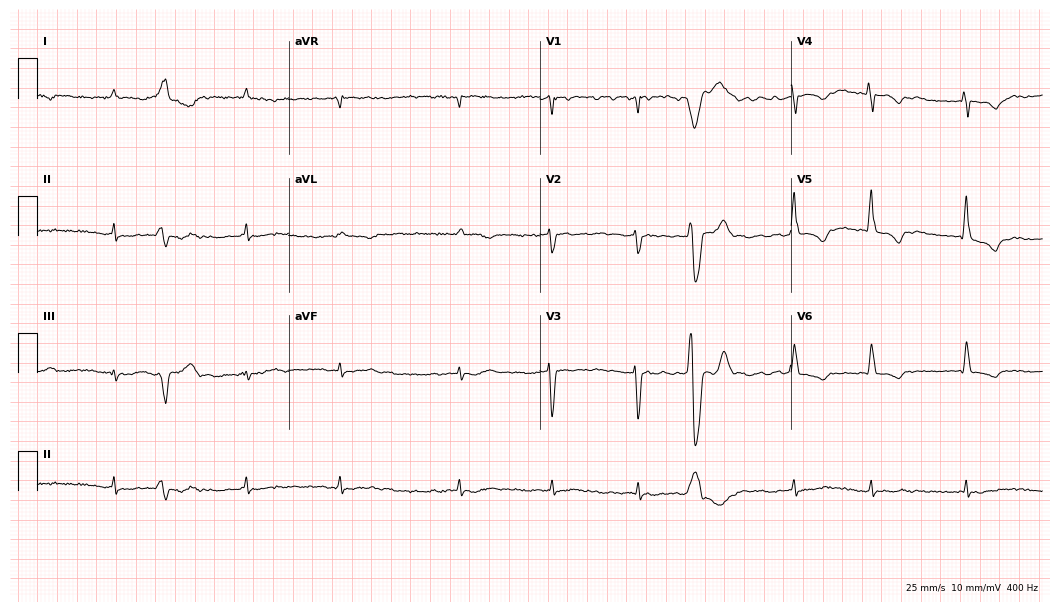
Resting 12-lead electrocardiogram (10.2-second recording at 400 Hz). Patient: a man, 84 years old. The tracing shows atrial fibrillation.